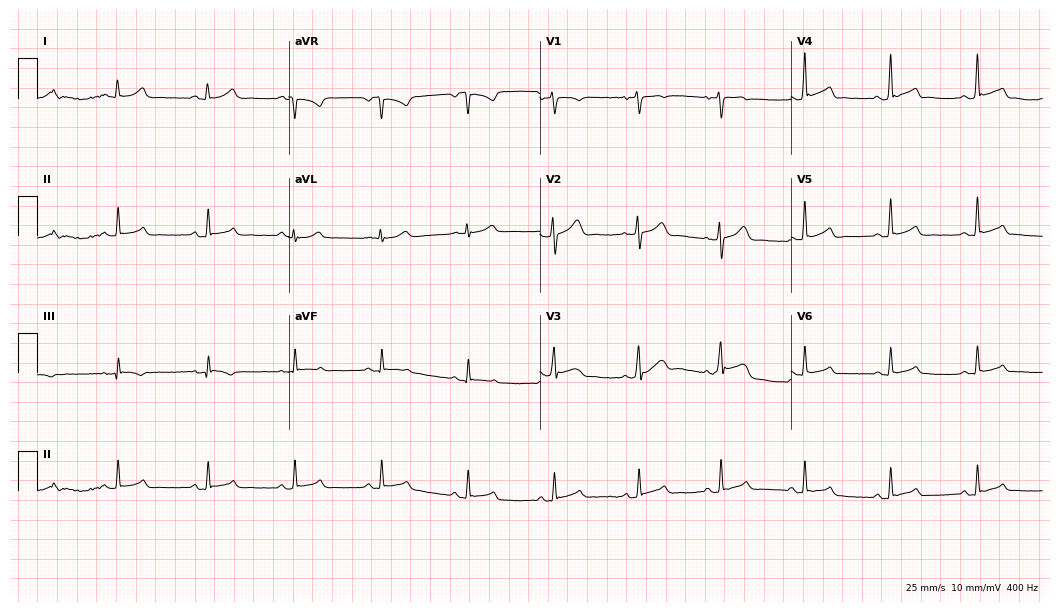
12-lead ECG from a man, 37 years old. Recorded interpretation: within normal limits.